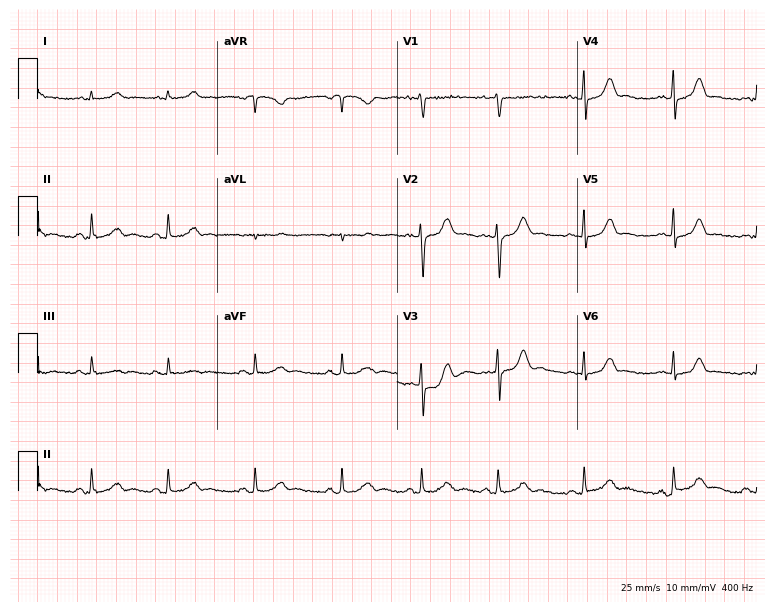
Electrocardiogram, a woman, 20 years old. Overall reading on record: normal ECG.